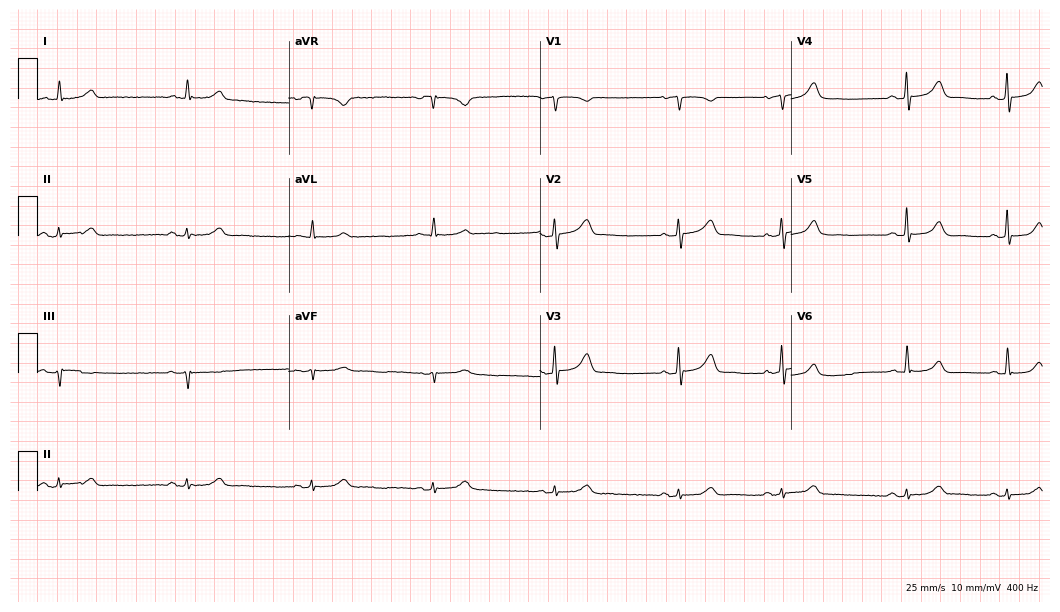
Electrocardiogram (10.2-second recording at 400 Hz), a 67-year-old female. Overall reading on record: normal ECG.